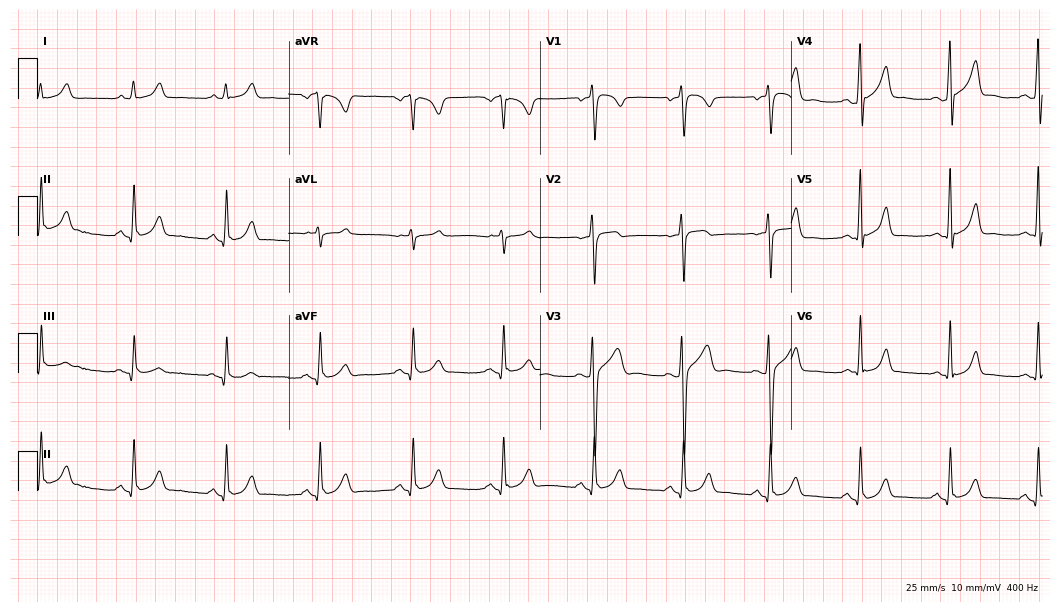
ECG (10.2-second recording at 400 Hz) — a male, 53 years old. Labelled as a normal ECG.